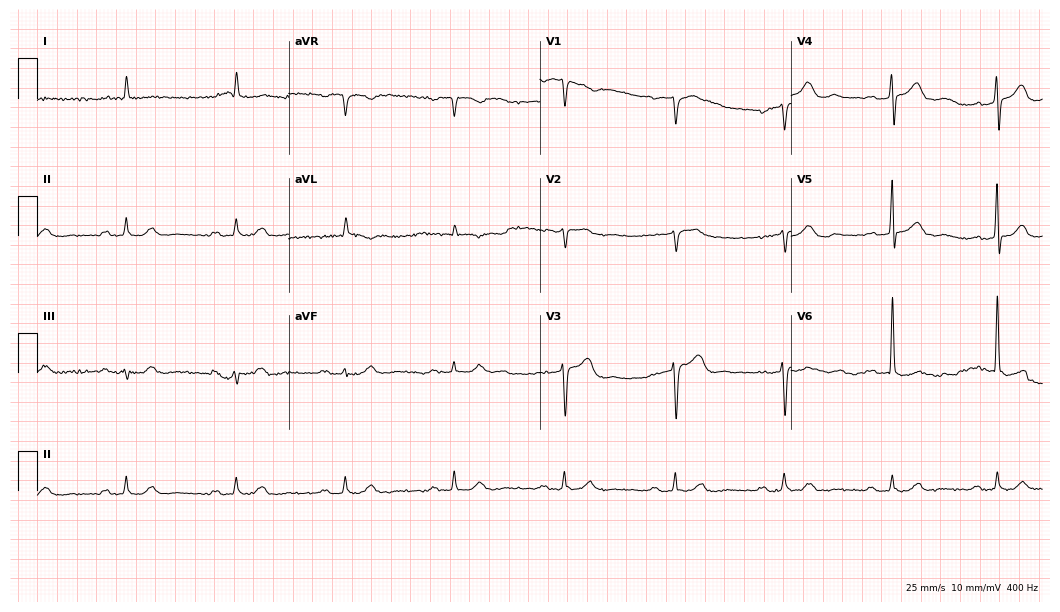
12-lead ECG from a male patient, 86 years old. No first-degree AV block, right bundle branch block, left bundle branch block, sinus bradycardia, atrial fibrillation or sinus tachycardia recorded for this tracing. Findings outside these six are not listed.